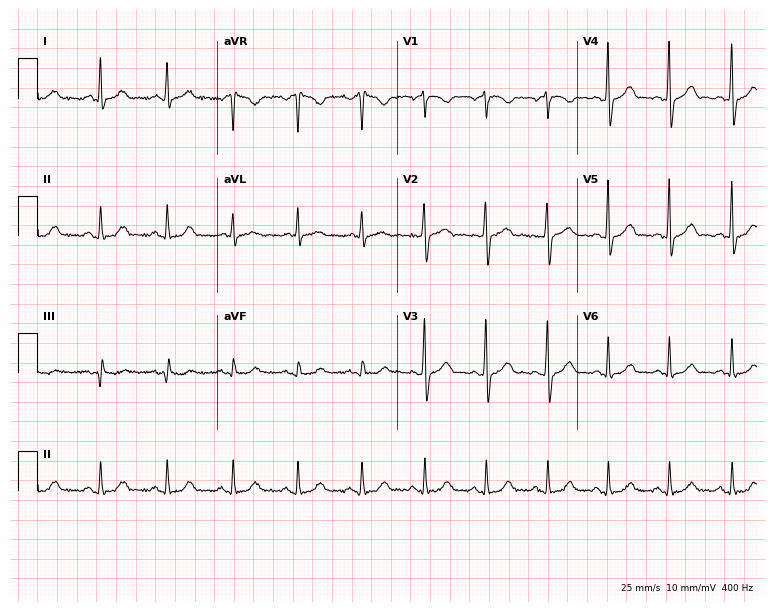
Electrocardiogram (7.3-second recording at 400 Hz), a 58-year-old female patient. Overall reading on record: normal ECG.